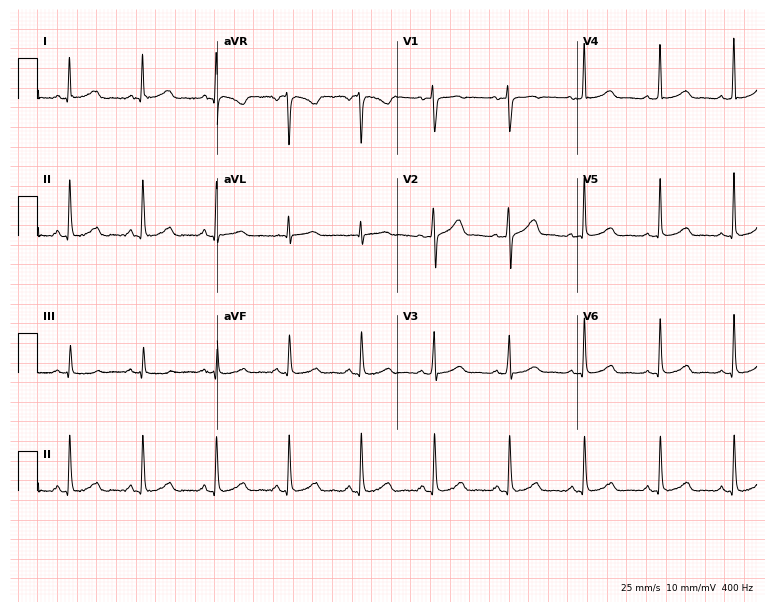
Electrocardiogram (7.3-second recording at 400 Hz), a 37-year-old female. Overall reading on record: normal ECG.